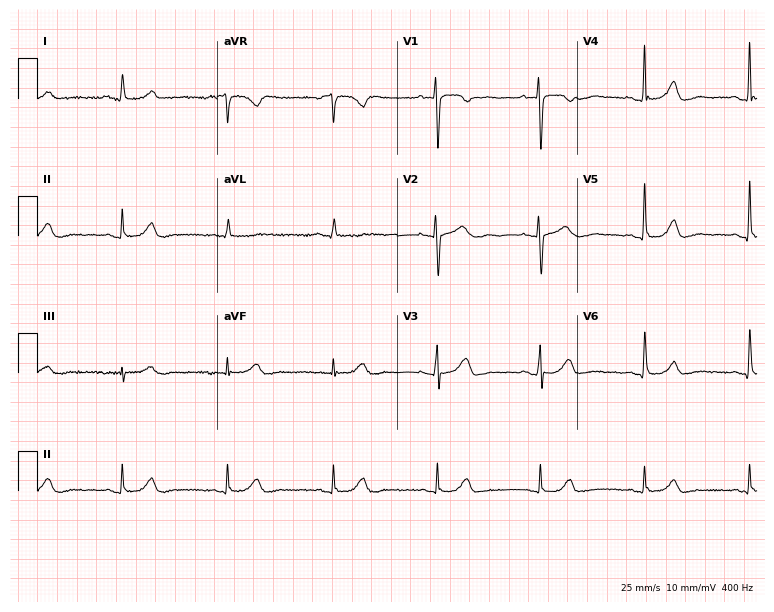
ECG — a female patient, 81 years old. Labelled as a normal ECG.